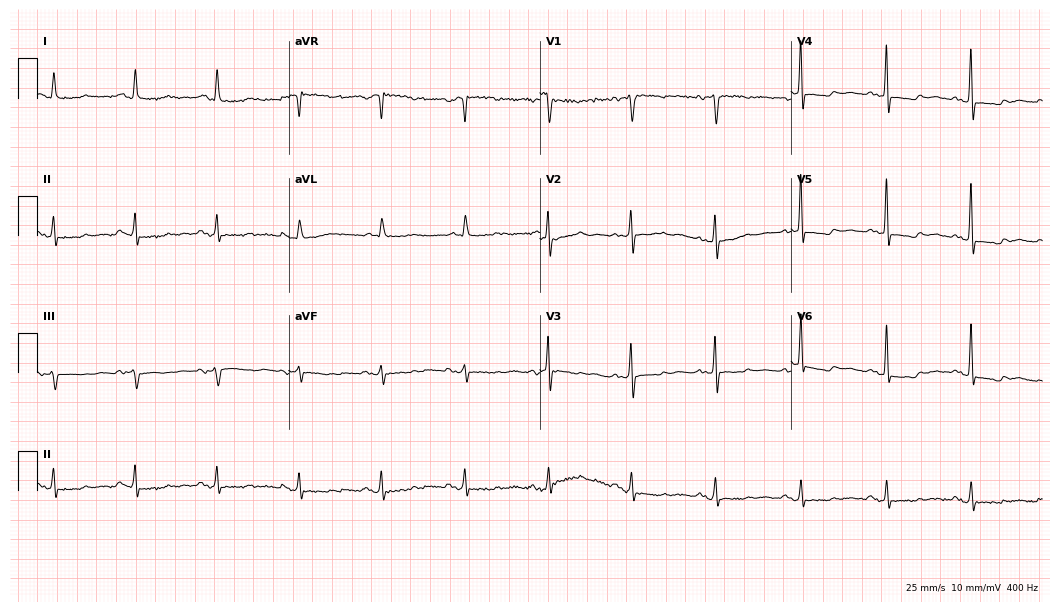
12-lead ECG from a 68-year-old woman. Screened for six findings — first-degree AV block, right bundle branch block, left bundle branch block, sinus bradycardia, atrial fibrillation, sinus tachycardia — none is recorded.